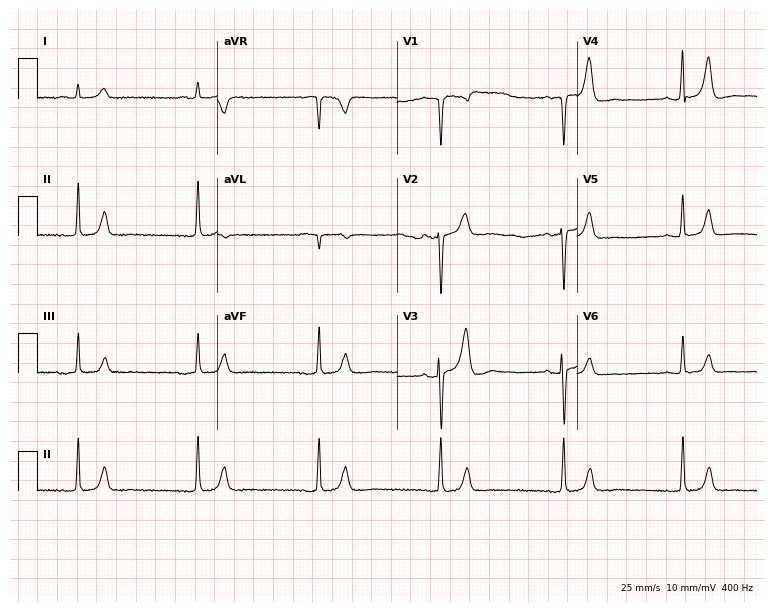
Resting 12-lead electrocardiogram (7.3-second recording at 400 Hz). Patient: a 75-year-old male. The tracing shows sinus bradycardia (a sinus rate of 50 beats per minute or less).